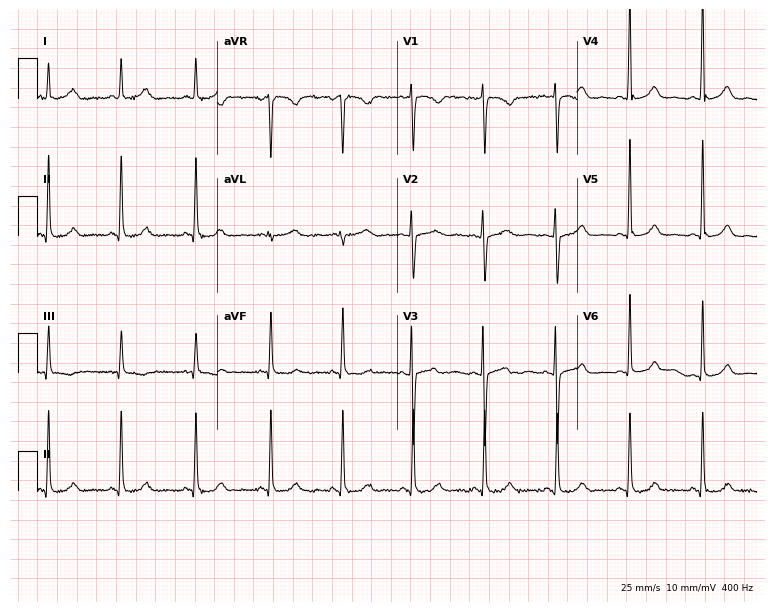
ECG (7.3-second recording at 400 Hz) — a 38-year-old female. Labelled as a normal ECG.